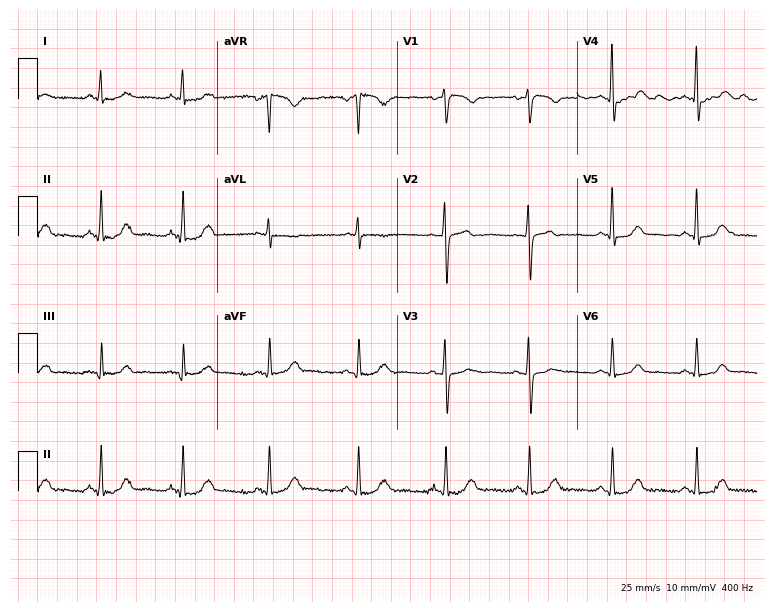
Standard 12-lead ECG recorded from a female, 61 years old. Read as a normal ECG.